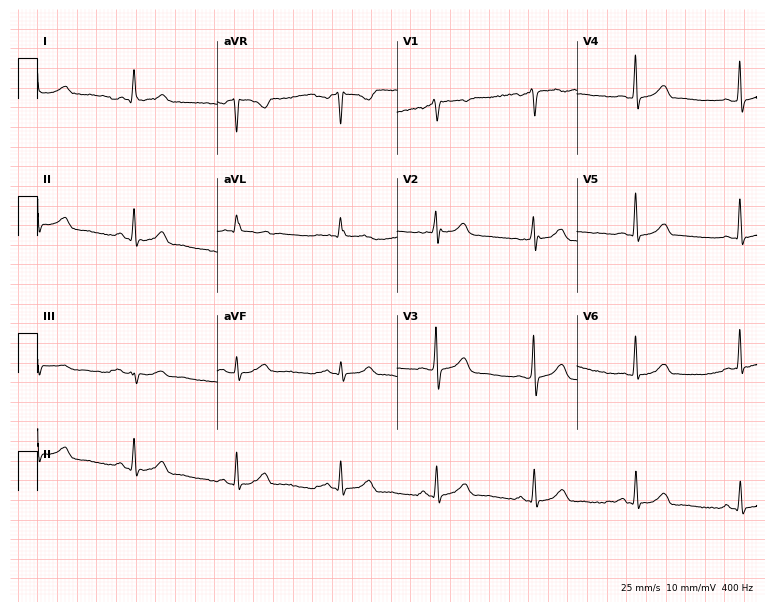
Standard 12-lead ECG recorded from a female patient, 52 years old (7.3-second recording at 400 Hz). None of these six findings is recorded: first-degree AV block, right bundle branch block (RBBB), left bundle branch block (LBBB), sinus bradycardia, atrial fibrillation (AF), sinus tachycardia.